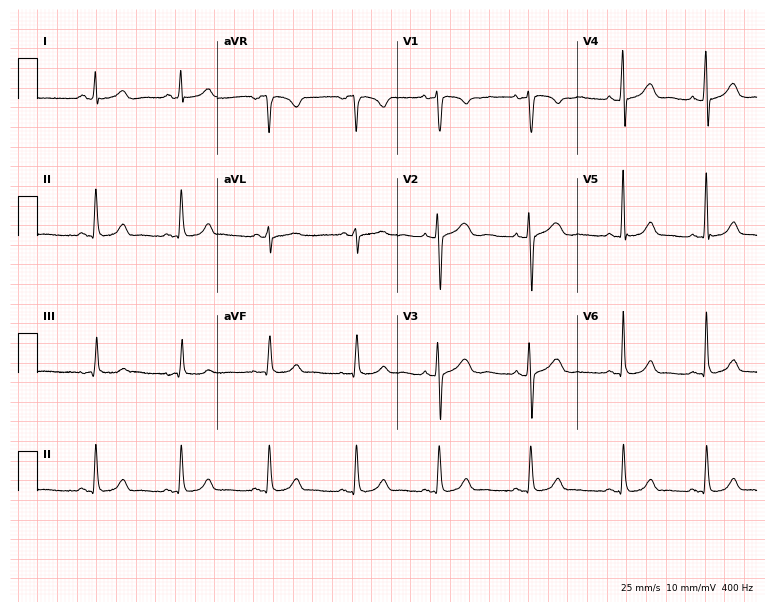
12-lead ECG (7.3-second recording at 400 Hz) from a female patient, 23 years old. Screened for six findings — first-degree AV block, right bundle branch block, left bundle branch block, sinus bradycardia, atrial fibrillation, sinus tachycardia — none is recorded.